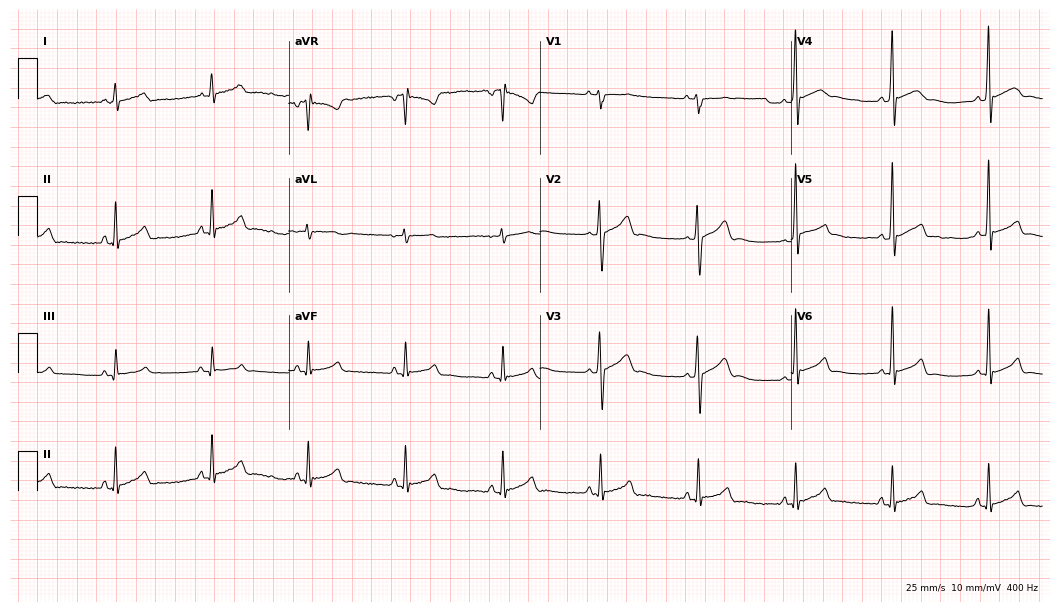
Standard 12-lead ECG recorded from a male, 19 years old (10.2-second recording at 400 Hz). Read as a normal ECG.